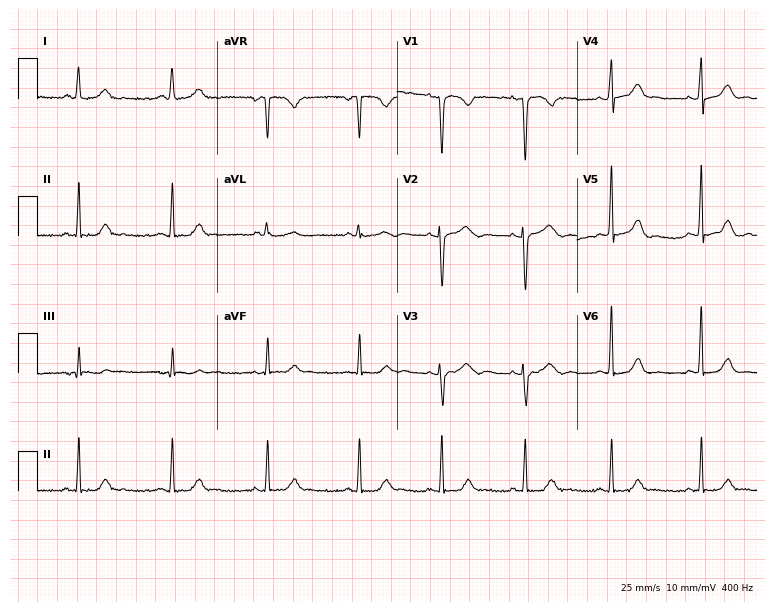
ECG — a woman, 25 years old. Screened for six findings — first-degree AV block, right bundle branch block, left bundle branch block, sinus bradycardia, atrial fibrillation, sinus tachycardia — none is recorded.